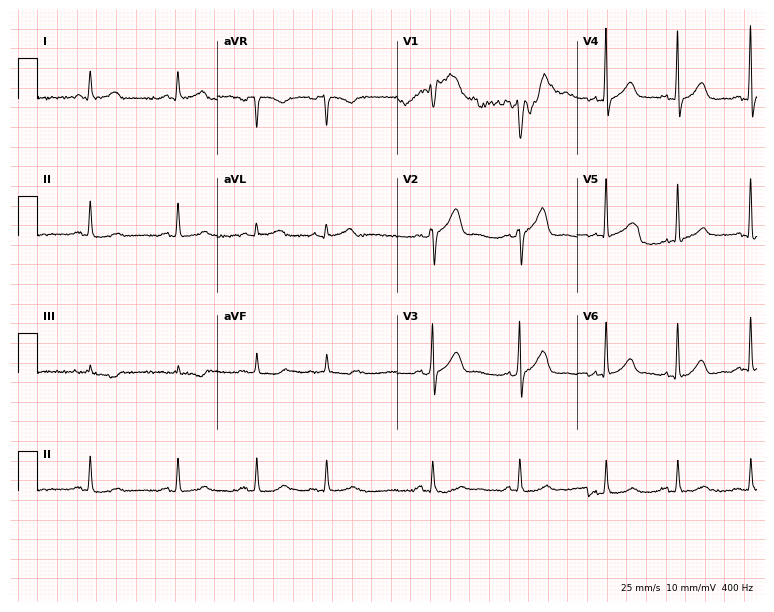
Resting 12-lead electrocardiogram (7.3-second recording at 400 Hz). Patient: a 71-year-old male. None of these six findings is recorded: first-degree AV block, right bundle branch block, left bundle branch block, sinus bradycardia, atrial fibrillation, sinus tachycardia. Only these six findings were labelled.